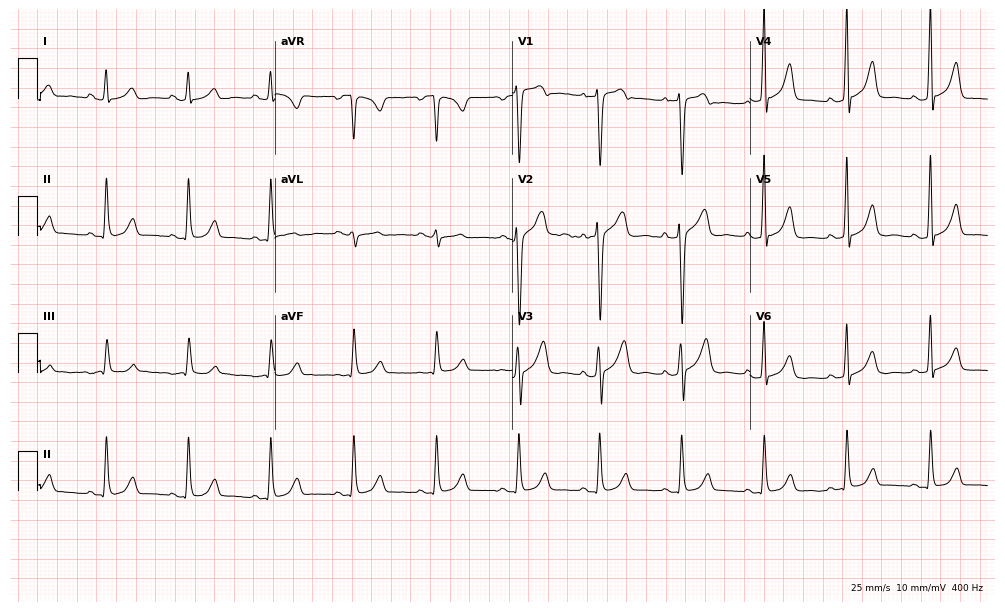
ECG (9.7-second recording at 400 Hz) — a 48-year-old female patient. Labelled as a normal ECG.